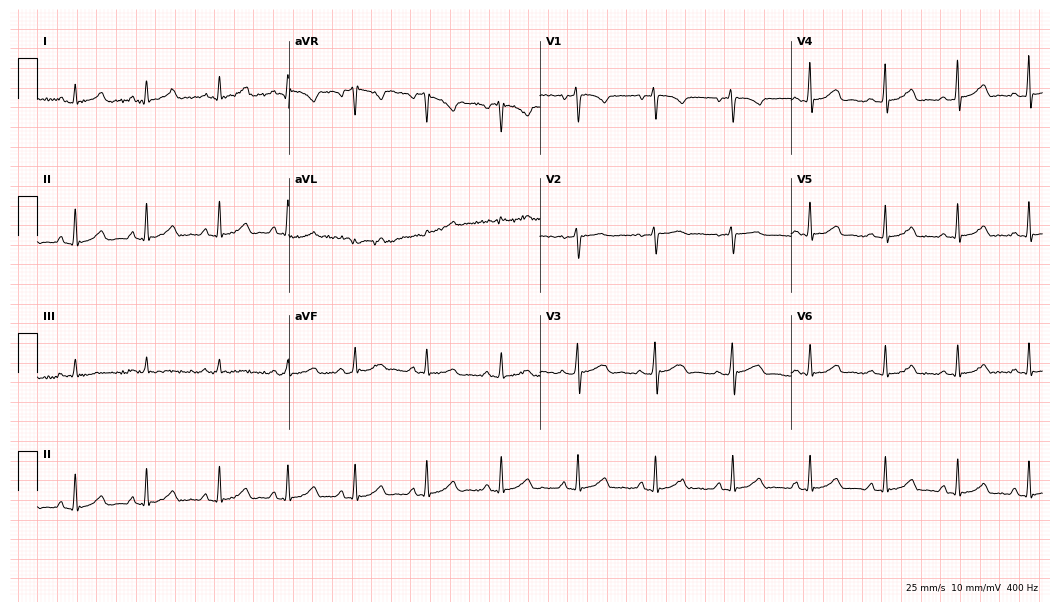
Standard 12-lead ECG recorded from a 23-year-old female (10.2-second recording at 400 Hz). Read as a normal ECG.